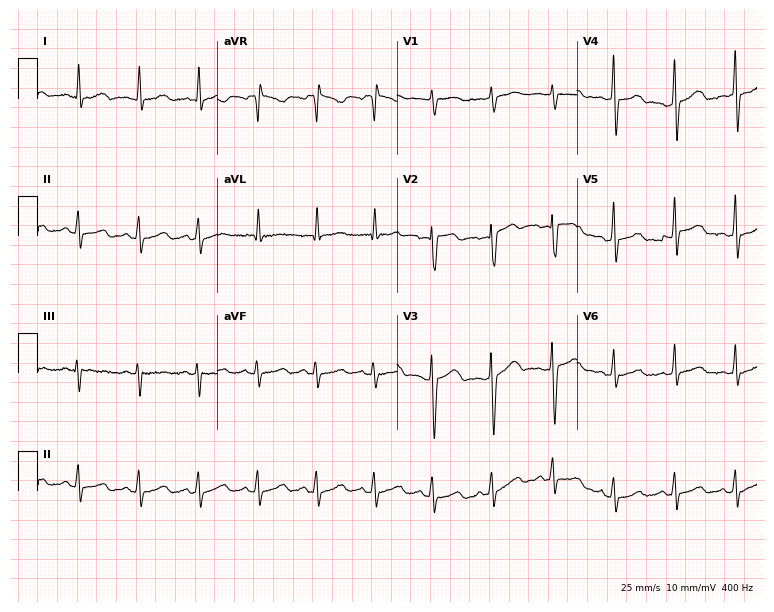
Resting 12-lead electrocardiogram (7.3-second recording at 400 Hz). Patient: a man, 29 years old. None of these six findings is recorded: first-degree AV block, right bundle branch block, left bundle branch block, sinus bradycardia, atrial fibrillation, sinus tachycardia. Only these six findings were labelled.